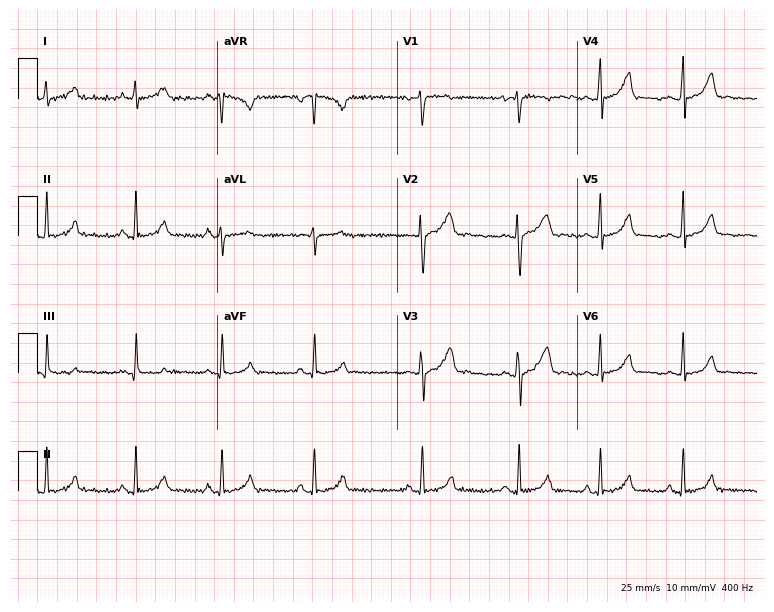
12-lead ECG from a female, 23 years old. Recorded interpretation: within normal limits.